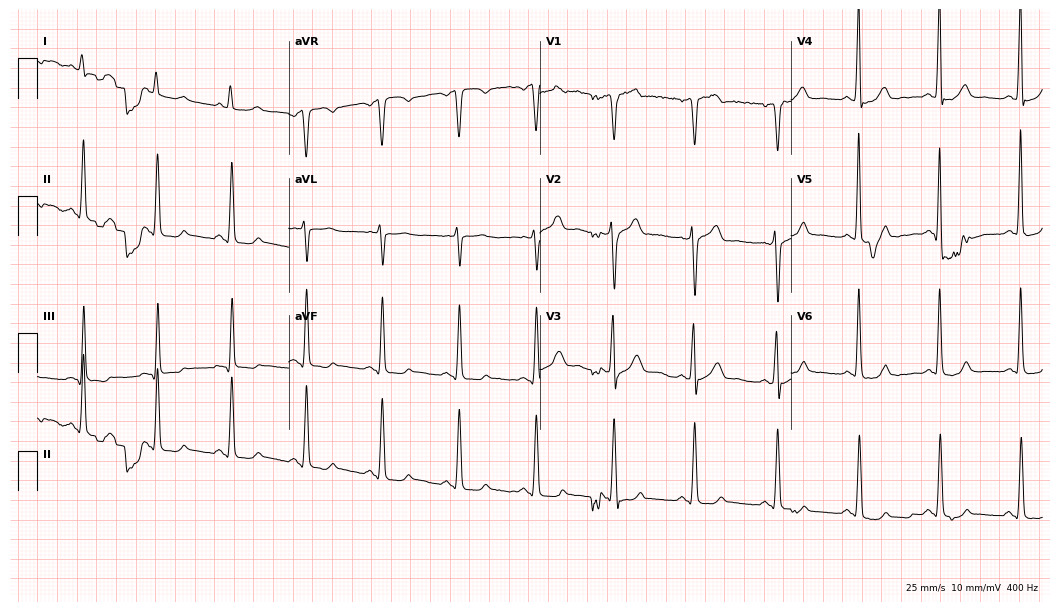
Resting 12-lead electrocardiogram (10.2-second recording at 400 Hz). Patient: a 71-year-old man. None of these six findings is recorded: first-degree AV block, right bundle branch block, left bundle branch block, sinus bradycardia, atrial fibrillation, sinus tachycardia.